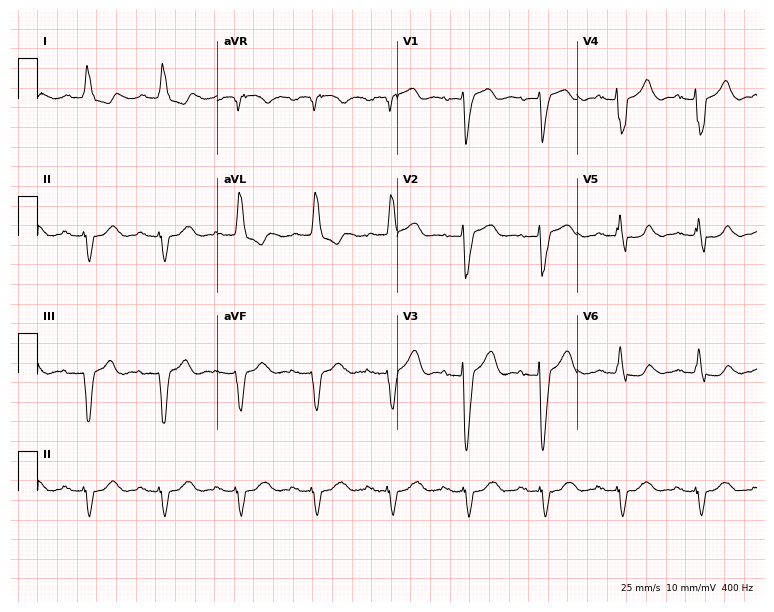
12-lead ECG (7.3-second recording at 400 Hz) from a female, 84 years old. Findings include left bundle branch block.